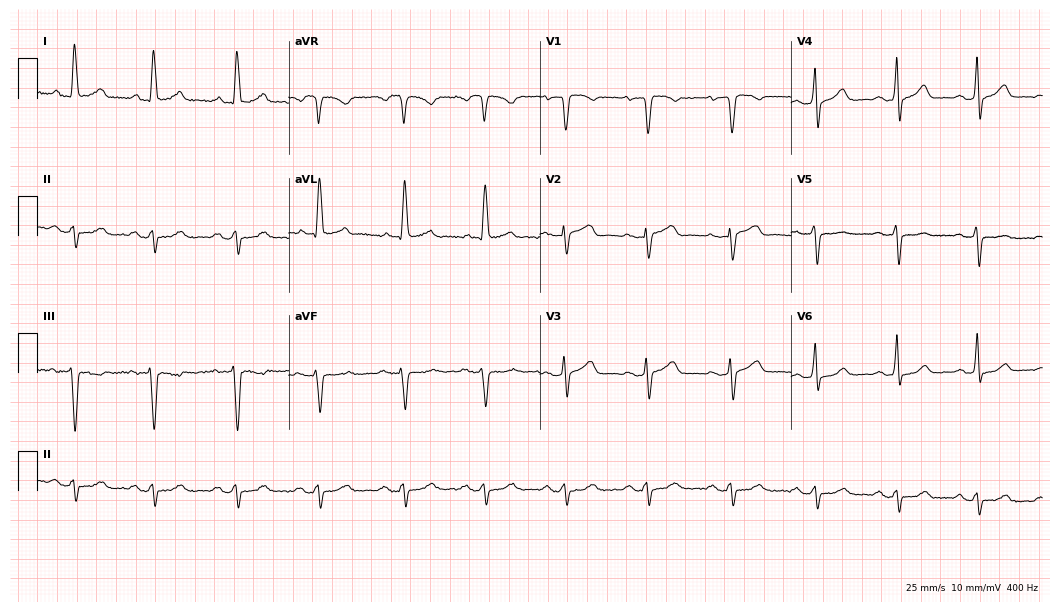
ECG (10.2-second recording at 400 Hz) — a female, 64 years old. Screened for six findings — first-degree AV block, right bundle branch block (RBBB), left bundle branch block (LBBB), sinus bradycardia, atrial fibrillation (AF), sinus tachycardia — none is recorded. Other findings, if any, are not listed.